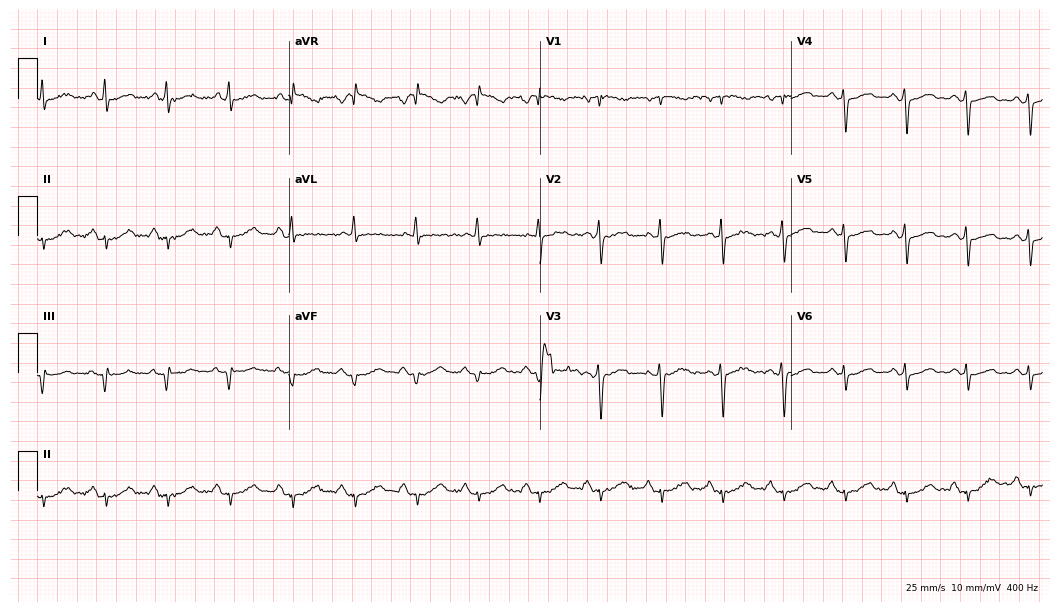
12-lead ECG from a female patient, 69 years old. No first-degree AV block, right bundle branch block, left bundle branch block, sinus bradycardia, atrial fibrillation or sinus tachycardia recorded for this tracing. Findings outside these six are not listed.